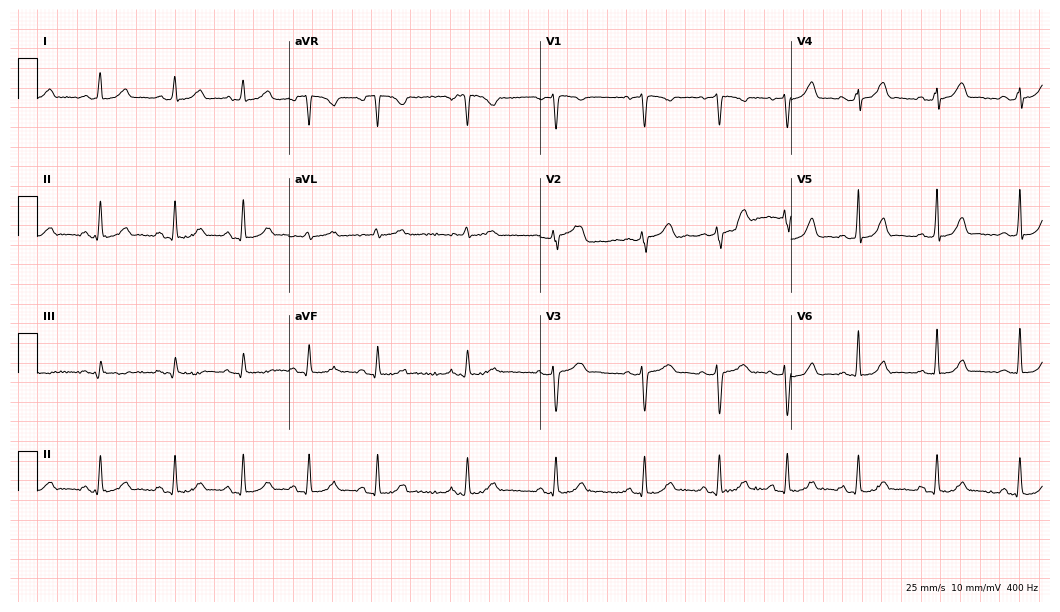
ECG (10.2-second recording at 400 Hz) — a 29-year-old female patient. Labelled as a normal ECG.